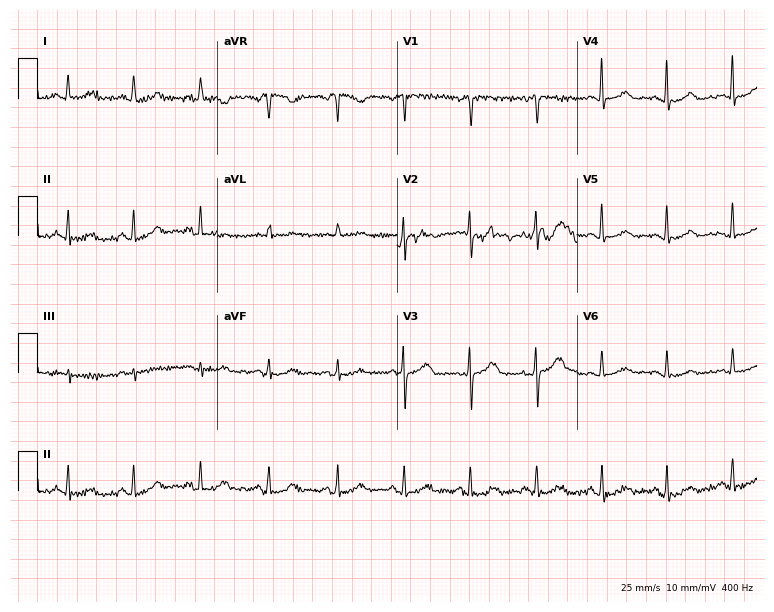
Standard 12-lead ECG recorded from a female, 63 years old (7.3-second recording at 400 Hz). None of these six findings is recorded: first-degree AV block, right bundle branch block, left bundle branch block, sinus bradycardia, atrial fibrillation, sinus tachycardia. Only these six findings were labelled.